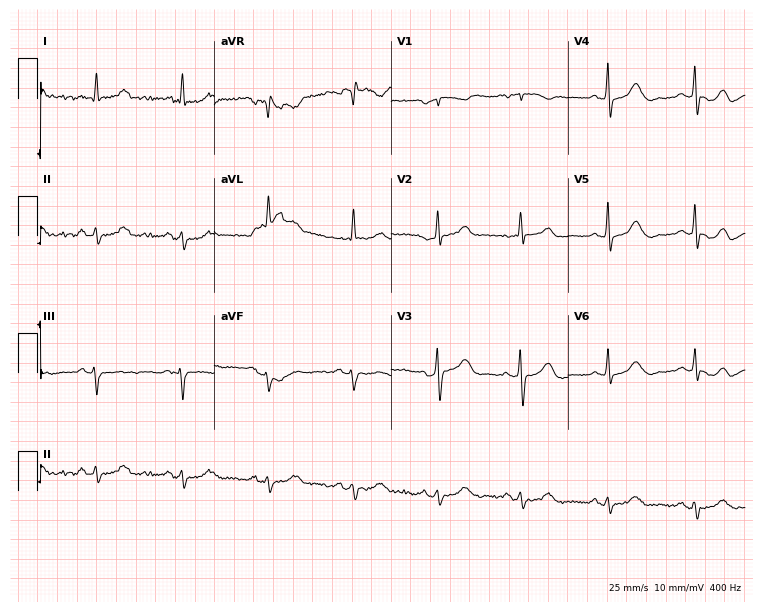
ECG (7.2-second recording at 400 Hz) — a female, 71 years old. Screened for six findings — first-degree AV block, right bundle branch block, left bundle branch block, sinus bradycardia, atrial fibrillation, sinus tachycardia — none is recorded. Other findings, if any, are not listed.